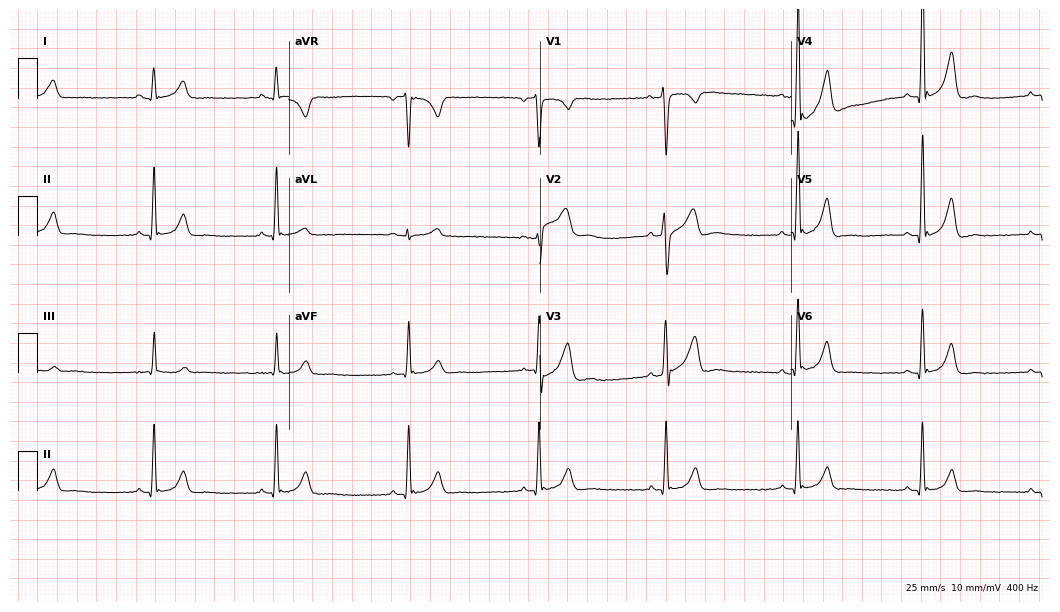
Standard 12-lead ECG recorded from a 38-year-old male (10.2-second recording at 400 Hz). The tracing shows sinus bradycardia (a sinus rate of 50 beats per minute or less).